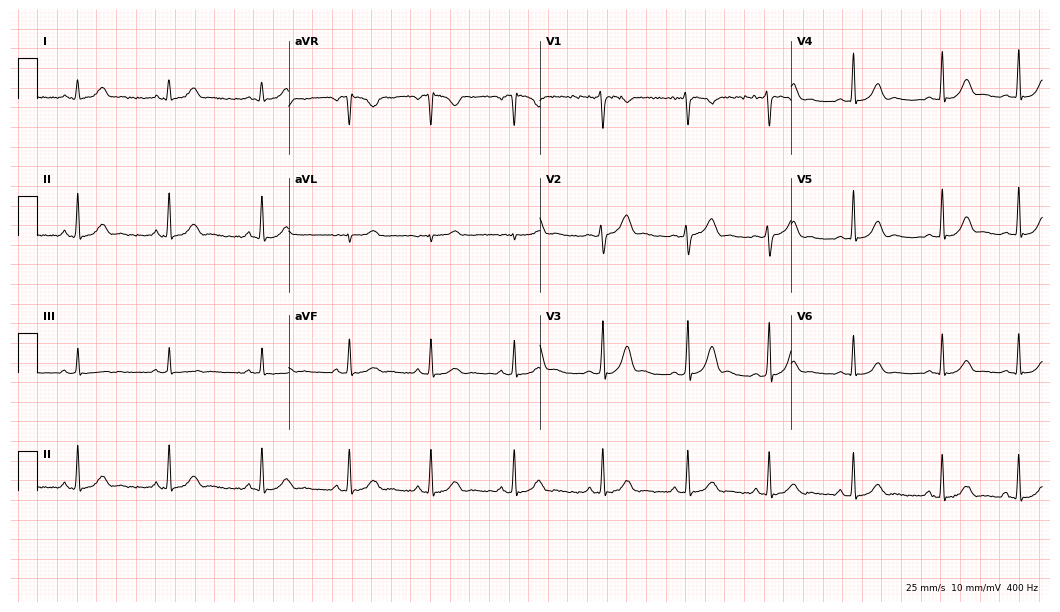
ECG (10.2-second recording at 400 Hz) — a 20-year-old female. Labelled as a normal ECG.